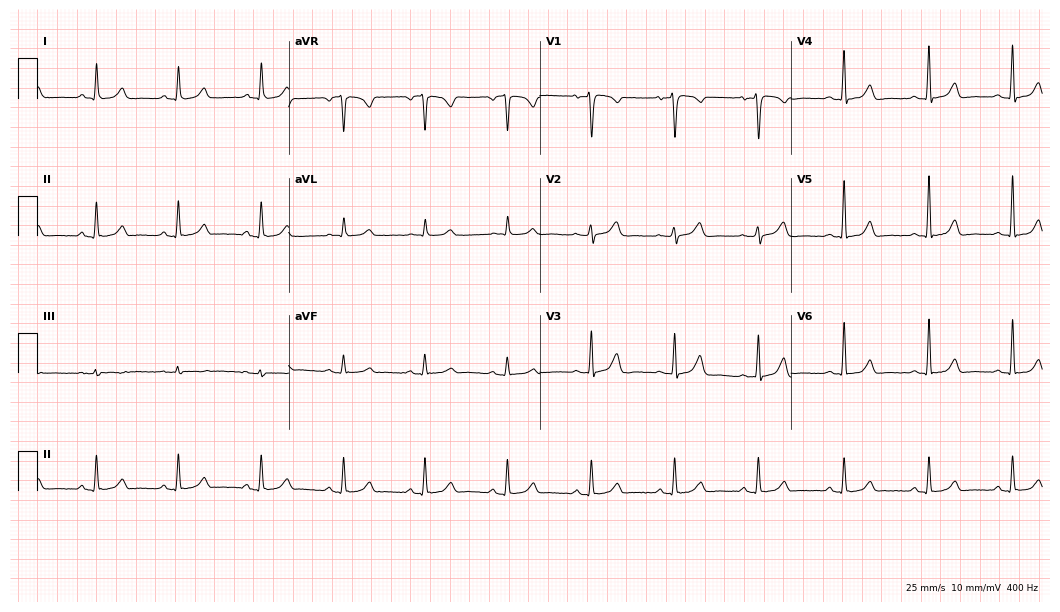
12-lead ECG (10.2-second recording at 400 Hz) from a female, 60 years old. Screened for six findings — first-degree AV block, right bundle branch block (RBBB), left bundle branch block (LBBB), sinus bradycardia, atrial fibrillation (AF), sinus tachycardia — none is recorded. Only these six findings were labelled.